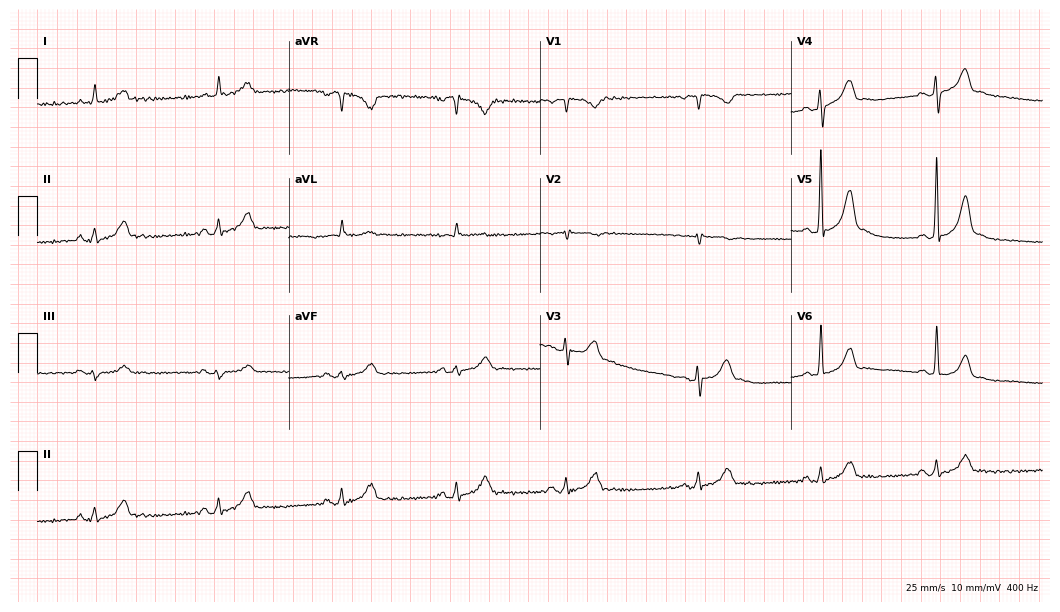
Standard 12-lead ECG recorded from a male patient, 45 years old. None of these six findings is recorded: first-degree AV block, right bundle branch block (RBBB), left bundle branch block (LBBB), sinus bradycardia, atrial fibrillation (AF), sinus tachycardia.